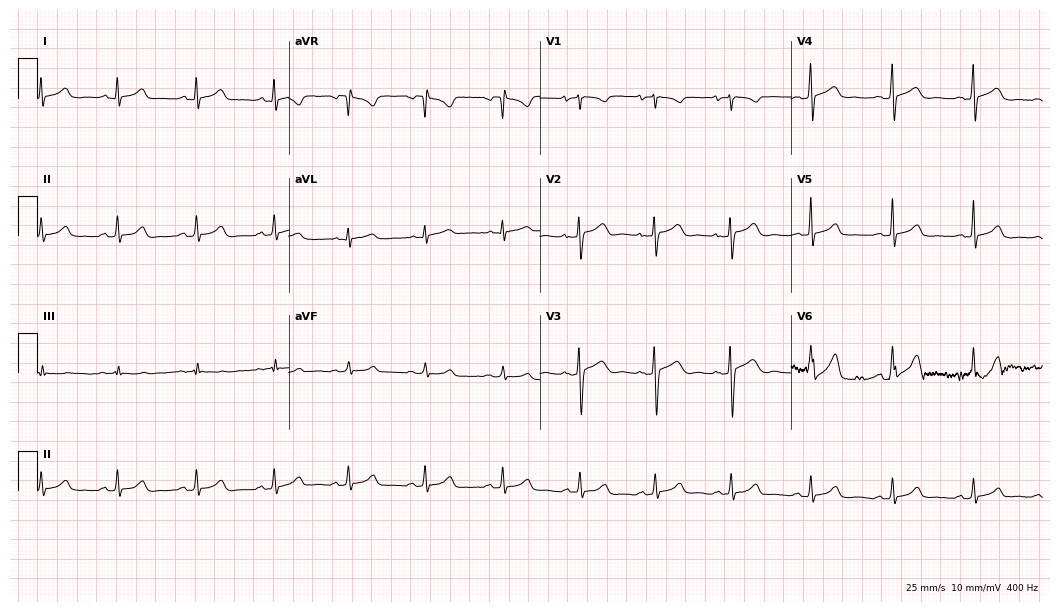
Standard 12-lead ECG recorded from a woman, 19 years old (10.2-second recording at 400 Hz). Read as a normal ECG.